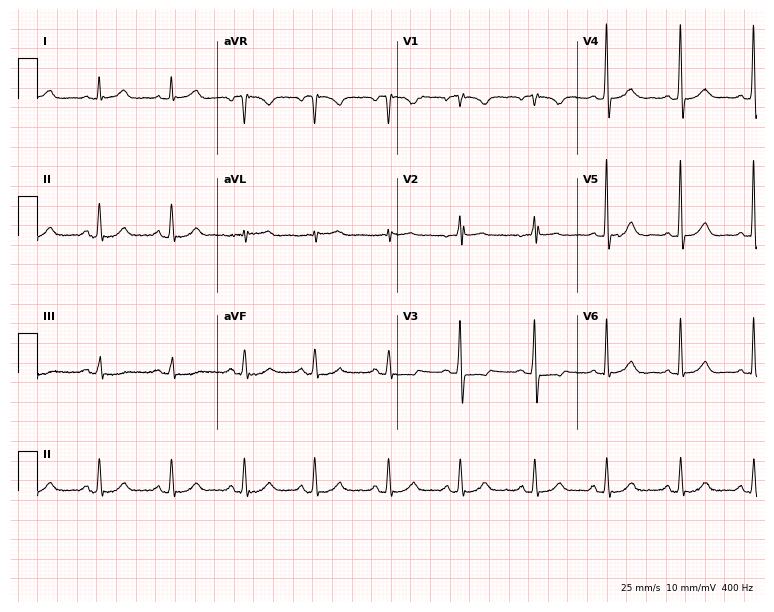
12-lead ECG from a woman, 63 years old. No first-degree AV block, right bundle branch block (RBBB), left bundle branch block (LBBB), sinus bradycardia, atrial fibrillation (AF) or sinus tachycardia recorded for this tracing. Findings outside these six are not listed.